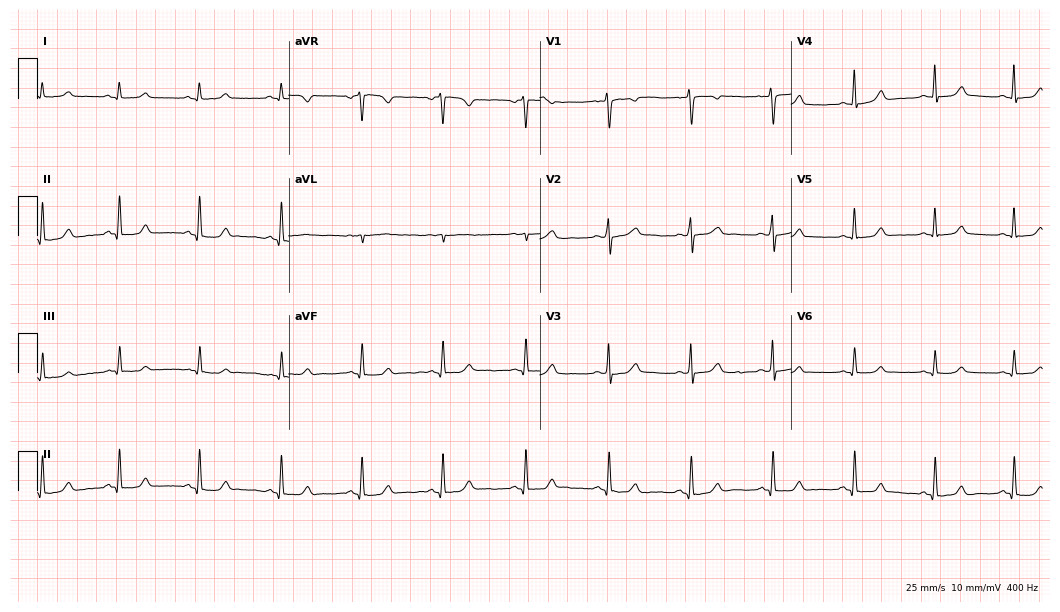
12-lead ECG from a woman, 33 years old. Labelled as a normal ECG.